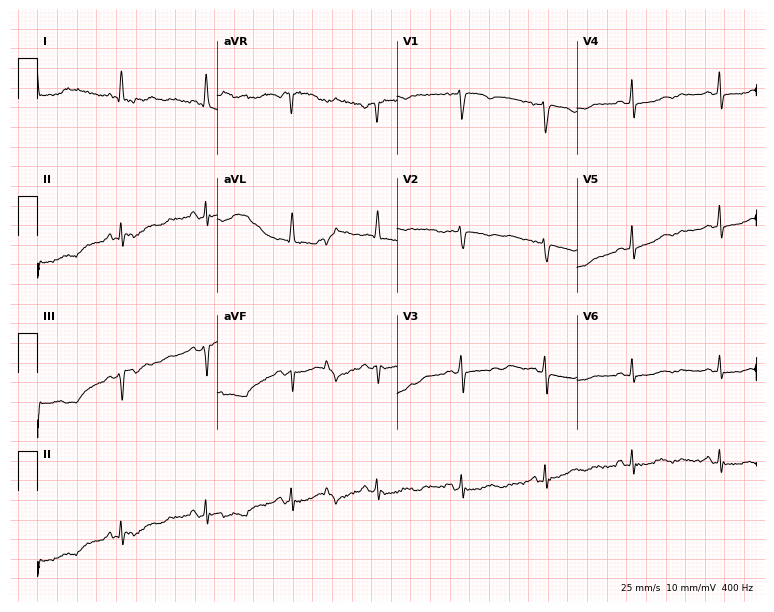
Resting 12-lead electrocardiogram (7.3-second recording at 400 Hz). Patient: a 79-year-old woman. None of these six findings is recorded: first-degree AV block, right bundle branch block (RBBB), left bundle branch block (LBBB), sinus bradycardia, atrial fibrillation (AF), sinus tachycardia. Findings outside these six are not listed.